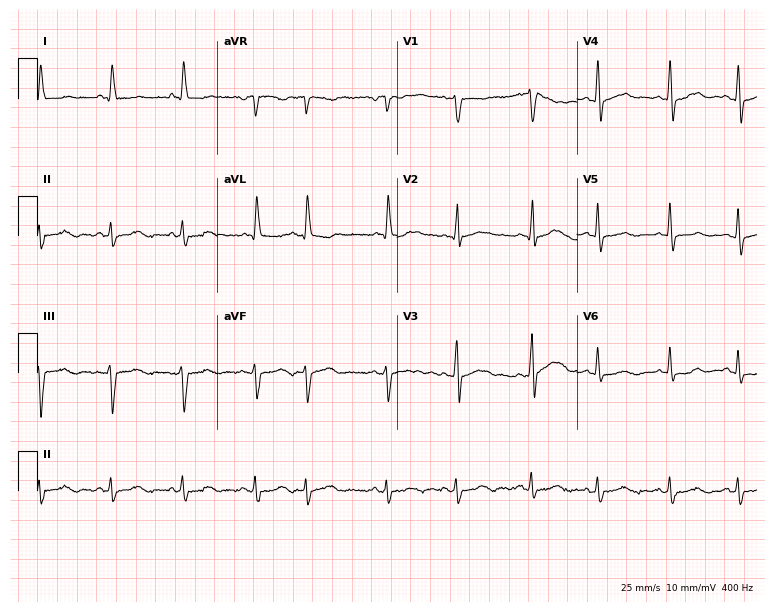
12-lead ECG from a male patient, 76 years old. No first-degree AV block, right bundle branch block (RBBB), left bundle branch block (LBBB), sinus bradycardia, atrial fibrillation (AF) or sinus tachycardia recorded for this tracing. Other findings, if any, are not listed.